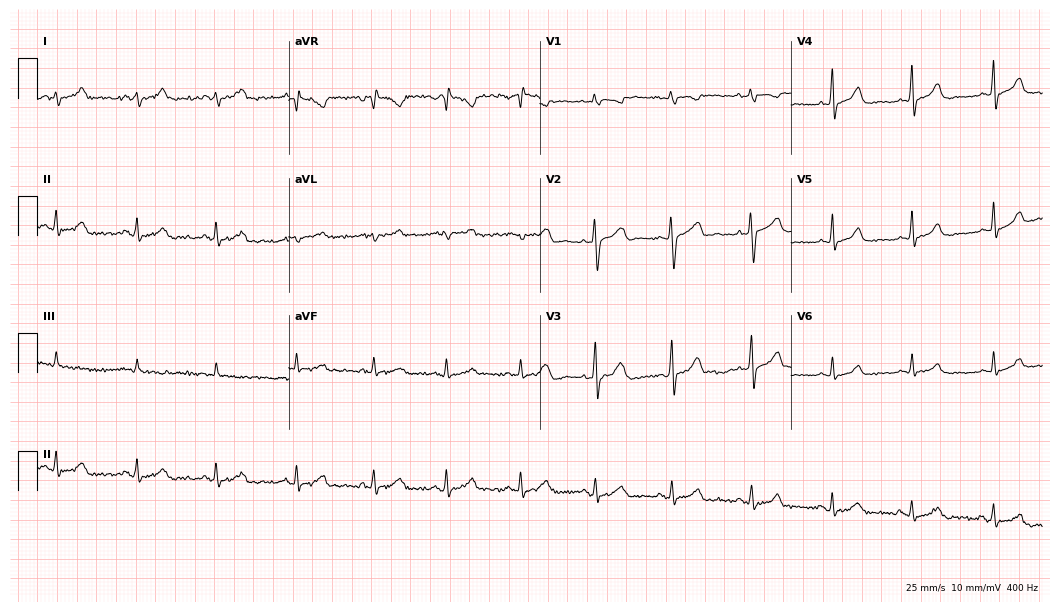
ECG (10.2-second recording at 400 Hz) — a female, 39 years old. Labelled as a normal ECG.